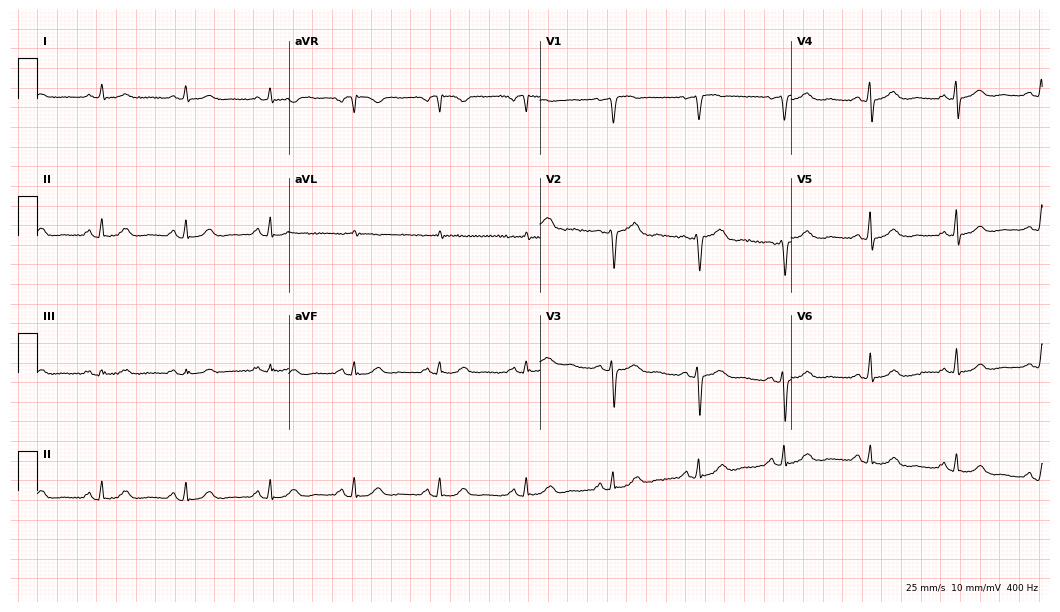
Resting 12-lead electrocardiogram. Patient: a woman, 57 years old. Read as a normal ECG.